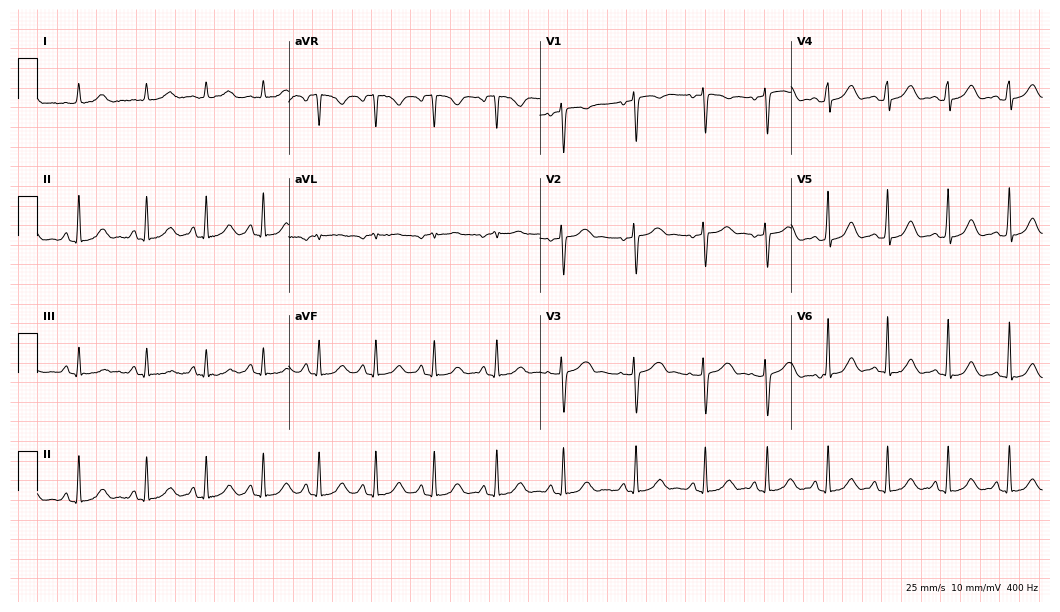
Standard 12-lead ECG recorded from a male, 83 years old. Read as a normal ECG.